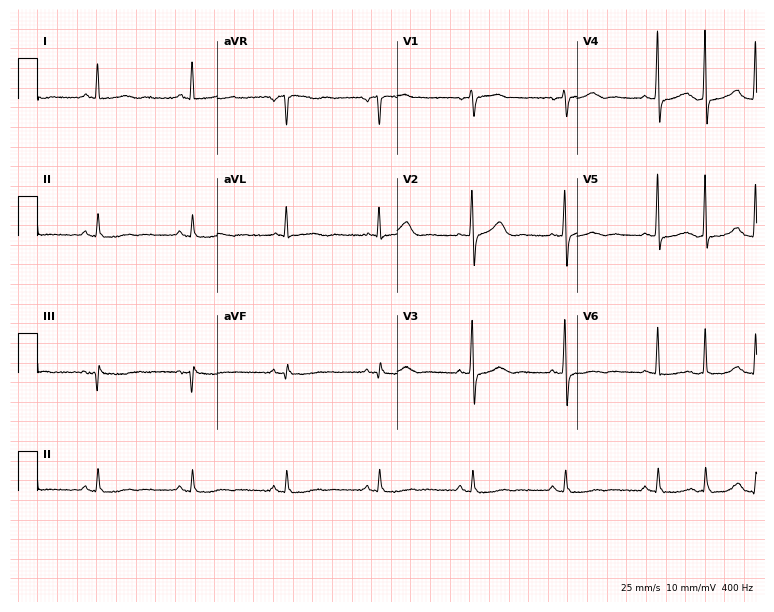
ECG — a 61-year-old woman. Screened for six findings — first-degree AV block, right bundle branch block, left bundle branch block, sinus bradycardia, atrial fibrillation, sinus tachycardia — none is recorded. Other findings, if any, are not listed.